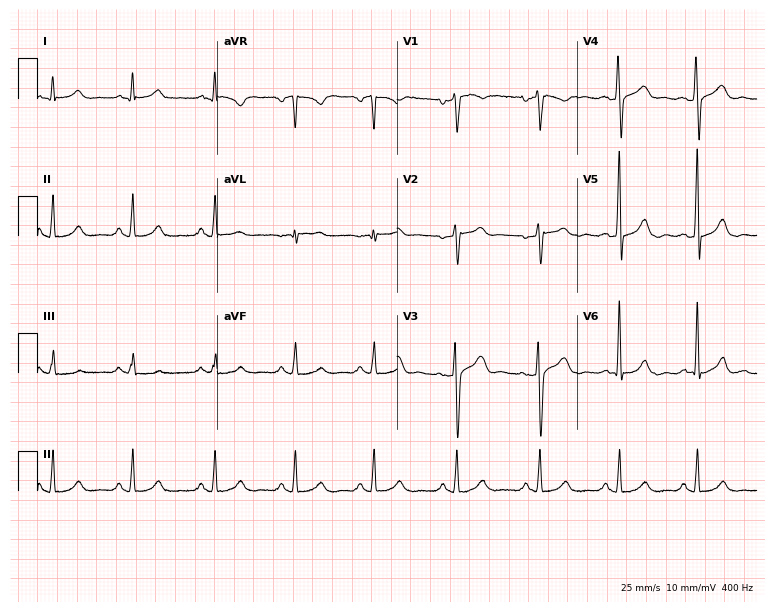
Electrocardiogram (7.3-second recording at 400 Hz), a man, 49 years old. Overall reading on record: normal ECG.